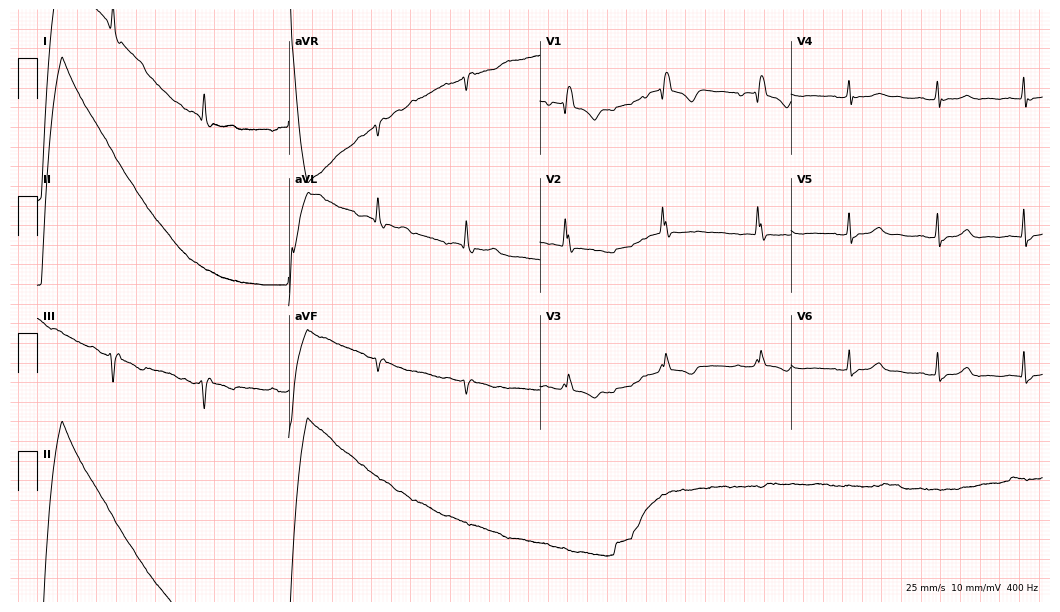
Electrocardiogram, a female, 78 years old. Interpretation includes right bundle branch block.